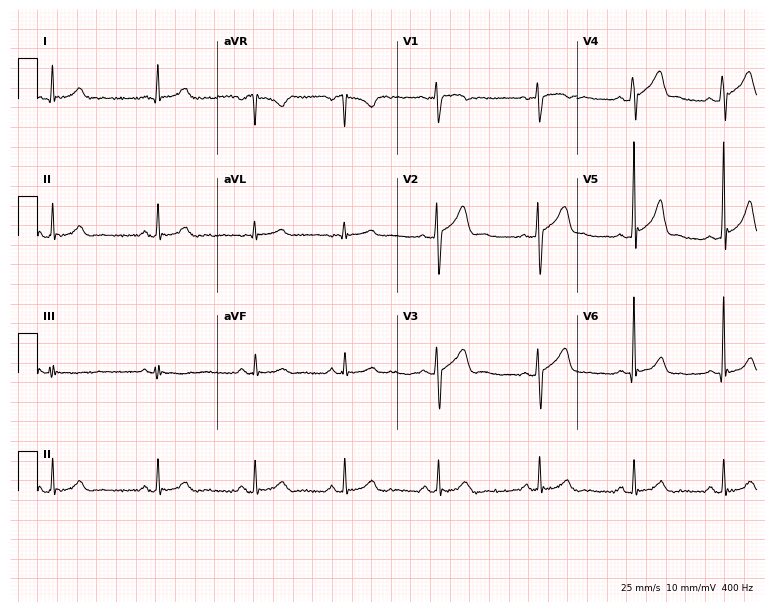
ECG — a 29-year-old male. Screened for six findings — first-degree AV block, right bundle branch block, left bundle branch block, sinus bradycardia, atrial fibrillation, sinus tachycardia — none is recorded.